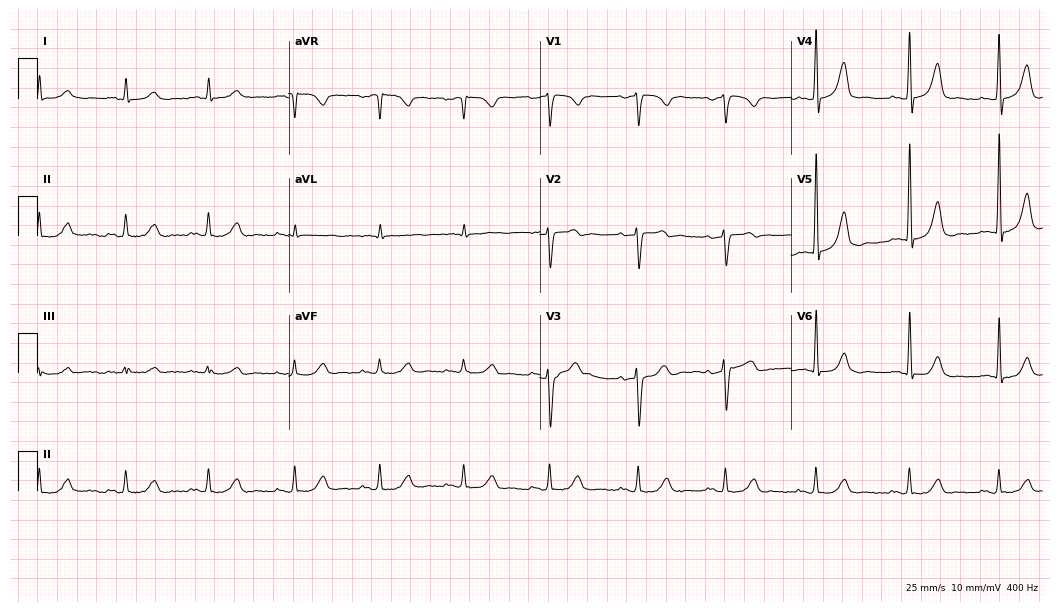
ECG — a male patient, 61 years old. Screened for six findings — first-degree AV block, right bundle branch block, left bundle branch block, sinus bradycardia, atrial fibrillation, sinus tachycardia — none is recorded.